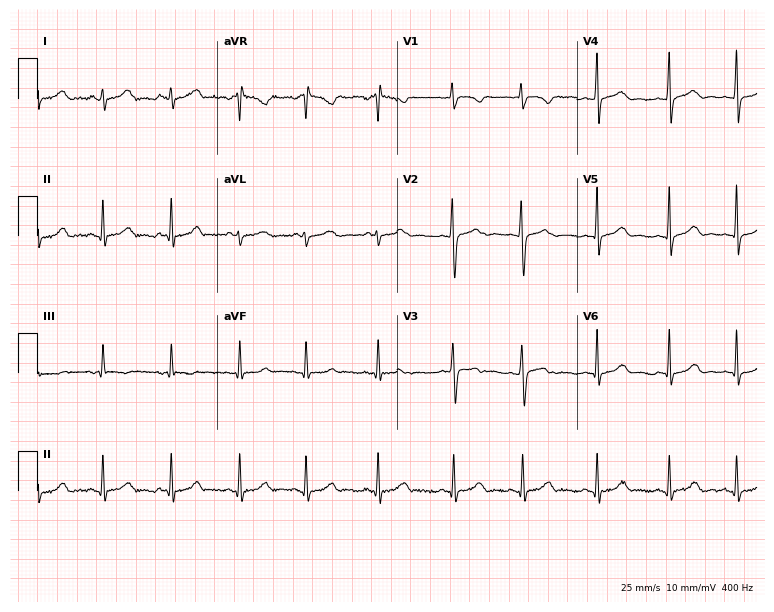
ECG — a 25-year-old female. Labelled as a normal ECG.